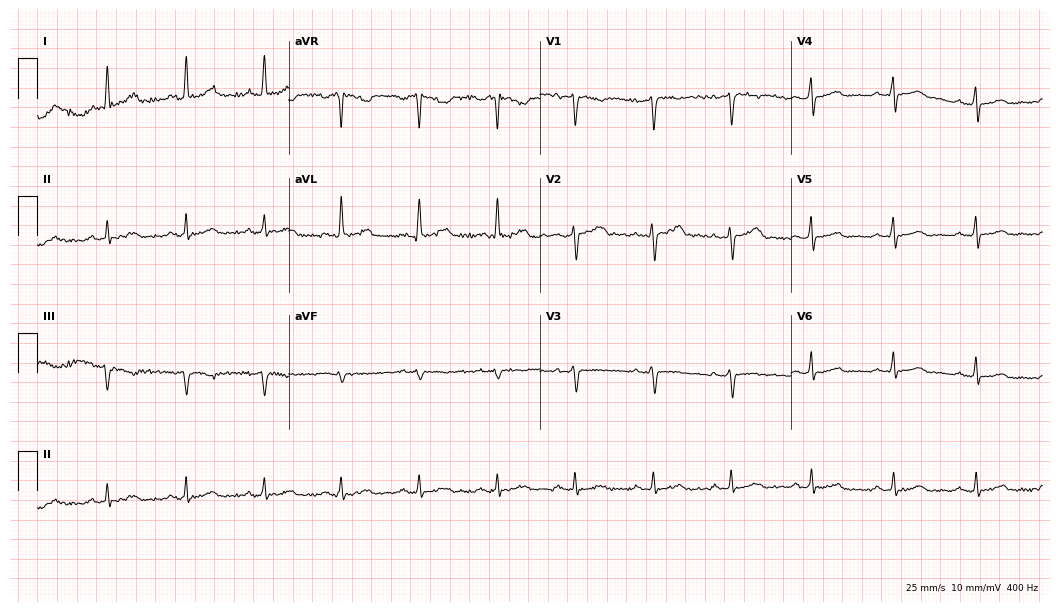
ECG (10.2-second recording at 400 Hz) — a 50-year-old woman. Labelled as a normal ECG.